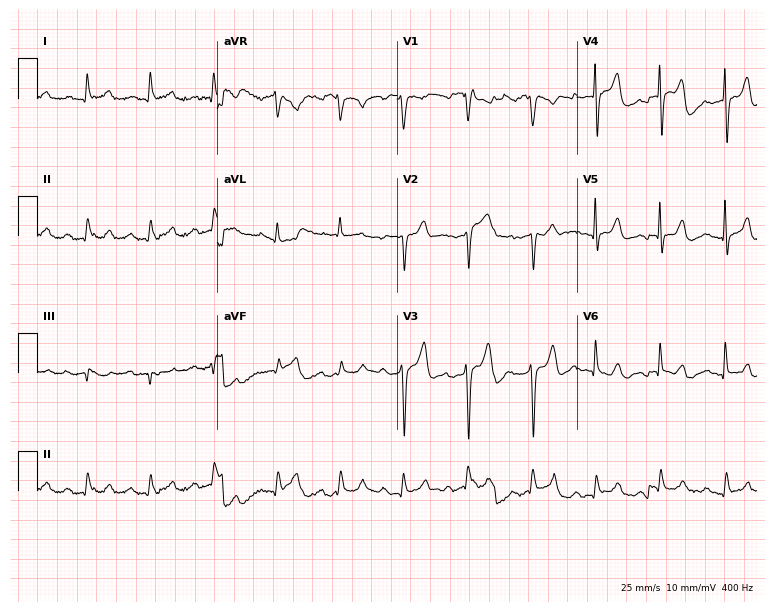
12-lead ECG from a man, 84 years old. No first-degree AV block, right bundle branch block, left bundle branch block, sinus bradycardia, atrial fibrillation or sinus tachycardia recorded for this tracing.